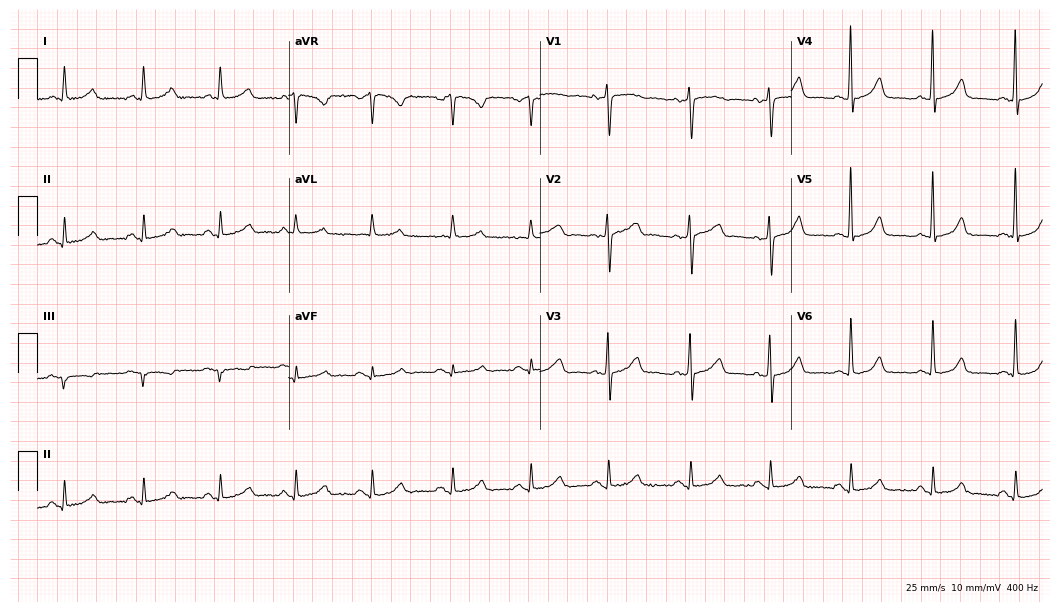
ECG (10.2-second recording at 400 Hz) — a 69-year-old female patient. Labelled as a normal ECG.